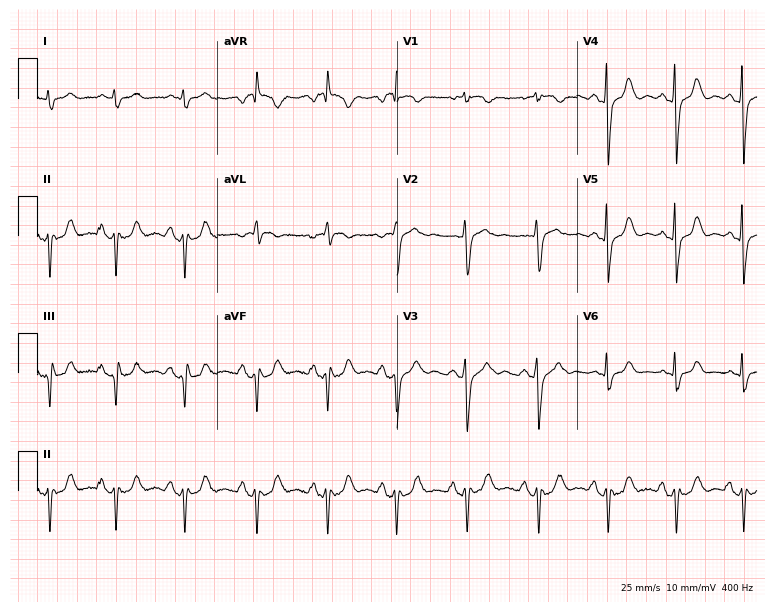
Electrocardiogram (7.3-second recording at 400 Hz), a female patient, 62 years old. Of the six screened findings (first-degree AV block, right bundle branch block (RBBB), left bundle branch block (LBBB), sinus bradycardia, atrial fibrillation (AF), sinus tachycardia), none is recorded. Findings outside these six are not listed.